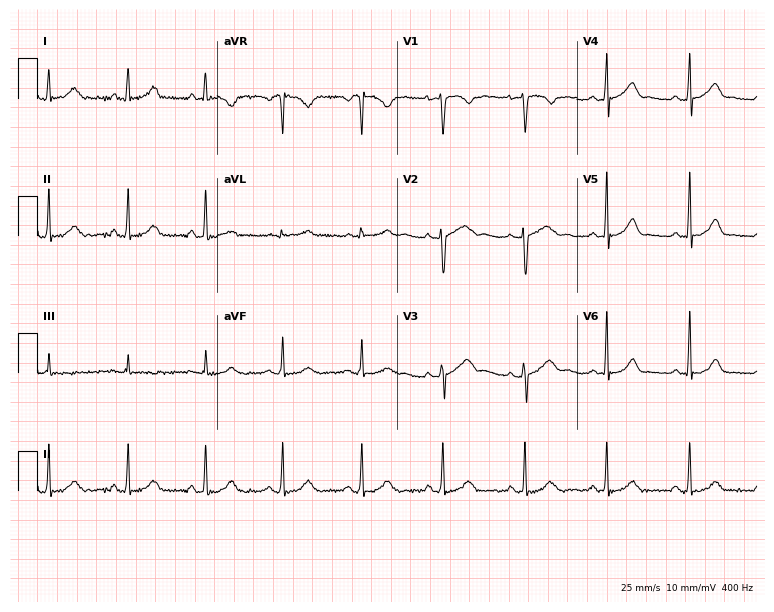
Resting 12-lead electrocardiogram. Patient: a 37-year-old female. None of these six findings is recorded: first-degree AV block, right bundle branch block, left bundle branch block, sinus bradycardia, atrial fibrillation, sinus tachycardia. Other findings, if any, are not listed.